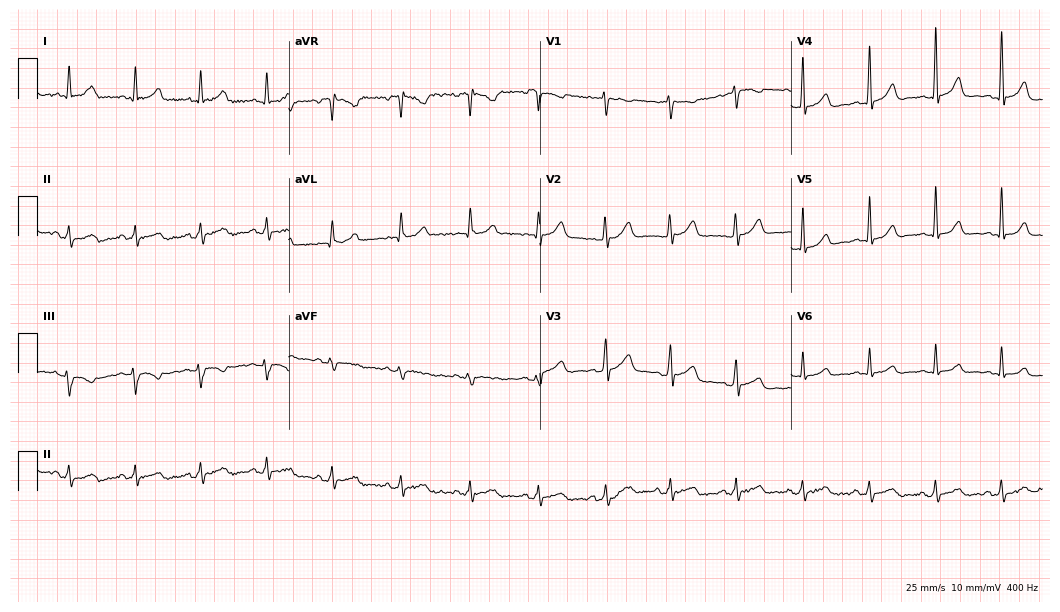
Standard 12-lead ECG recorded from a 27-year-old female patient. Read as a normal ECG.